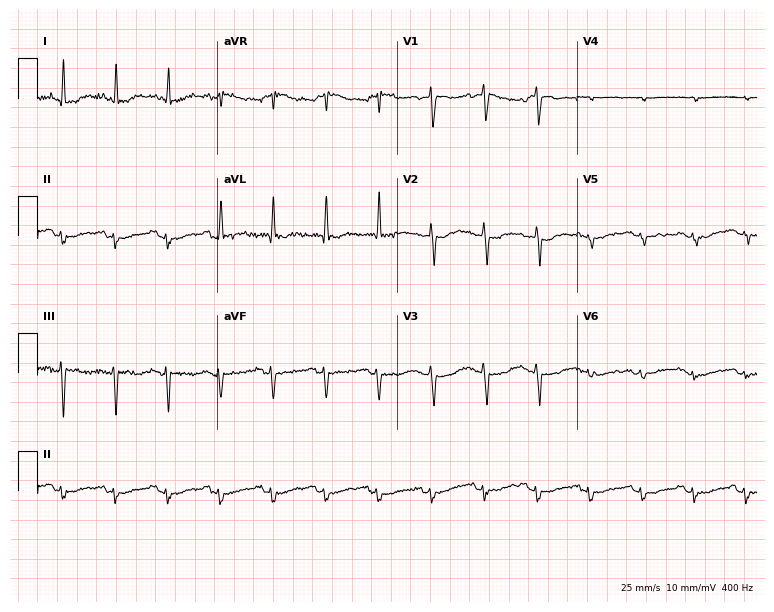
Standard 12-lead ECG recorded from a female, 62 years old (7.3-second recording at 400 Hz). None of these six findings is recorded: first-degree AV block, right bundle branch block, left bundle branch block, sinus bradycardia, atrial fibrillation, sinus tachycardia. Findings outside these six are not listed.